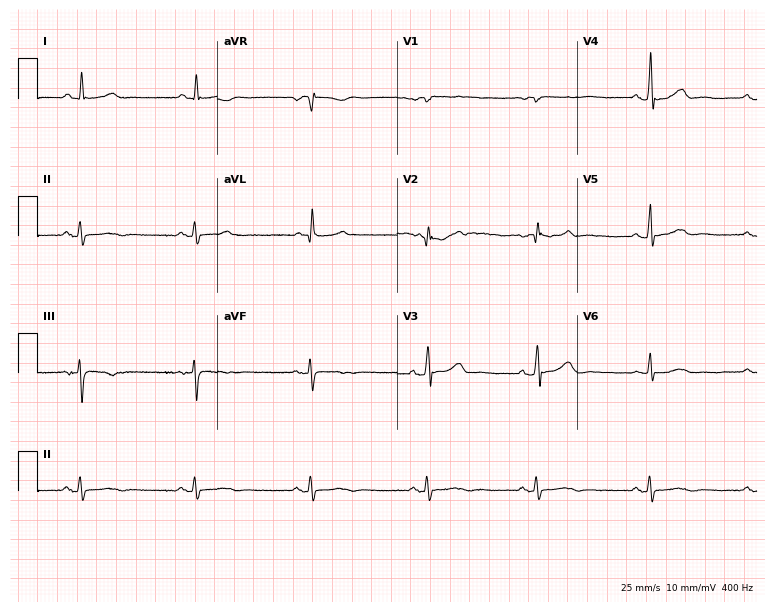
Resting 12-lead electrocardiogram. Patient: a man, 75 years old. None of these six findings is recorded: first-degree AV block, right bundle branch block, left bundle branch block, sinus bradycardia, atrial fibrillation, sinus tachycardia.